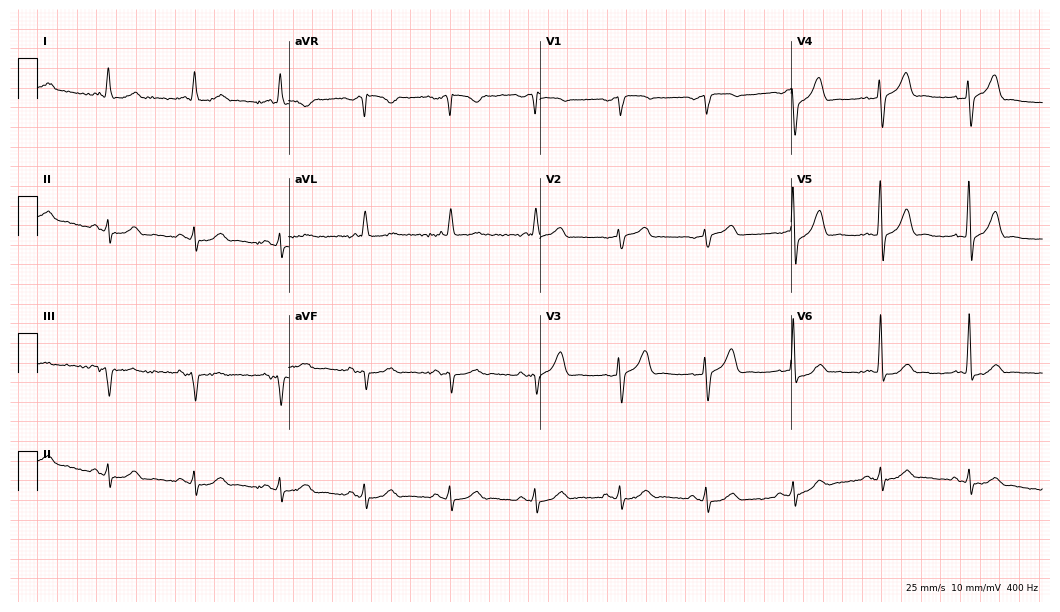
12-lead ECG from a 75-year-old male. Labelled as a normal ECG.